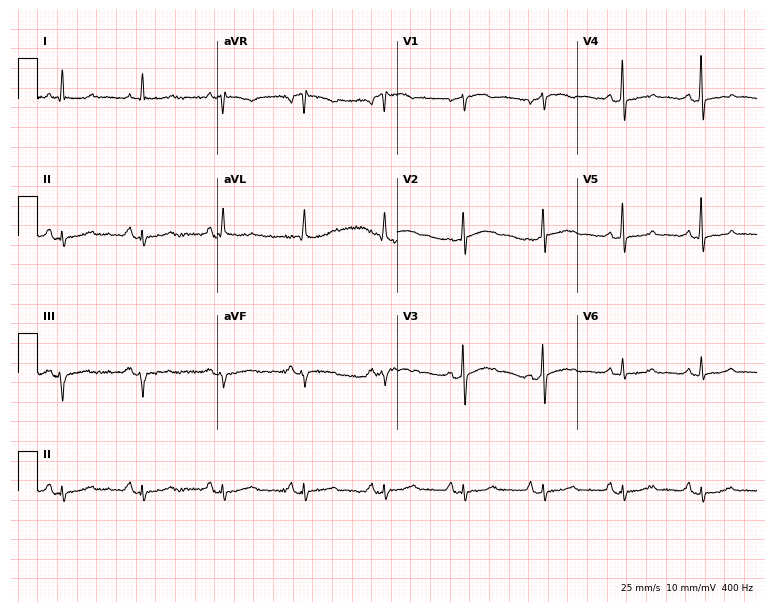
12-lead ECG from a female patient, 77 years old (7.3-second recording at 400 Hz). No first-degree AV block, right bundle branch block, left bundle branch block, sinus bradycardia, atrial fibrillation or sinus tachycardia recorded for this tracing. Findings outside these six are not listed.